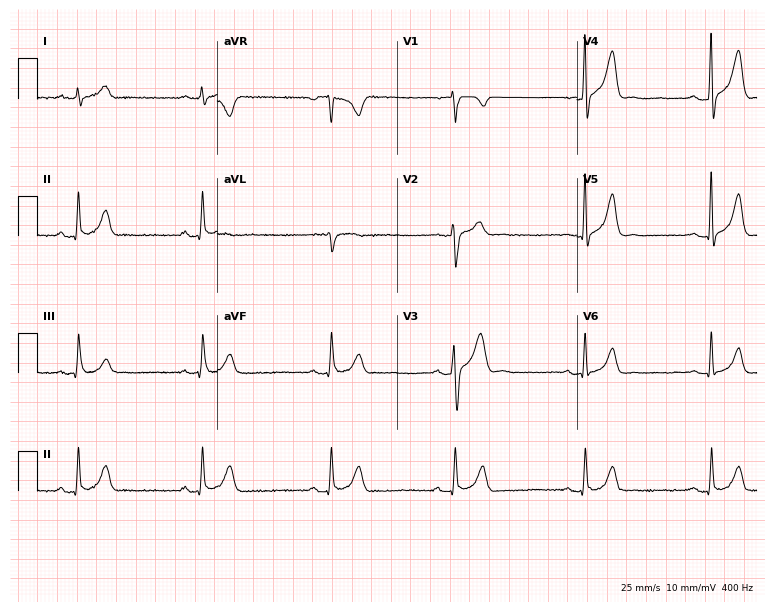
12-lead ECG from a man, 44 years old (7.3-second recording at 400 Hz). Shows sinus bradycardia (a sinus rate of 50 beats per minute or less).